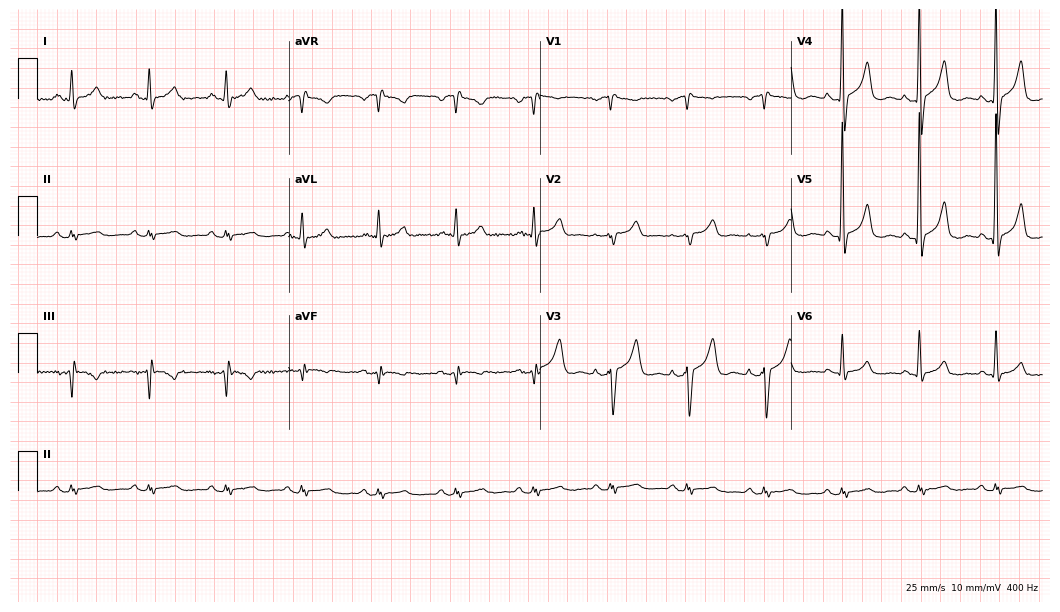
Standard 12-lead ECG recorded from a male patient, 60 years old (10.2-second recording at 400 Hz). None of these six findings is recorded: first-degree AV block, right bundle branch block (RBBB), left bundle branch block (LBBB), sinus bradycardia, atrial fibrillation (AF), sinus tachycardia.